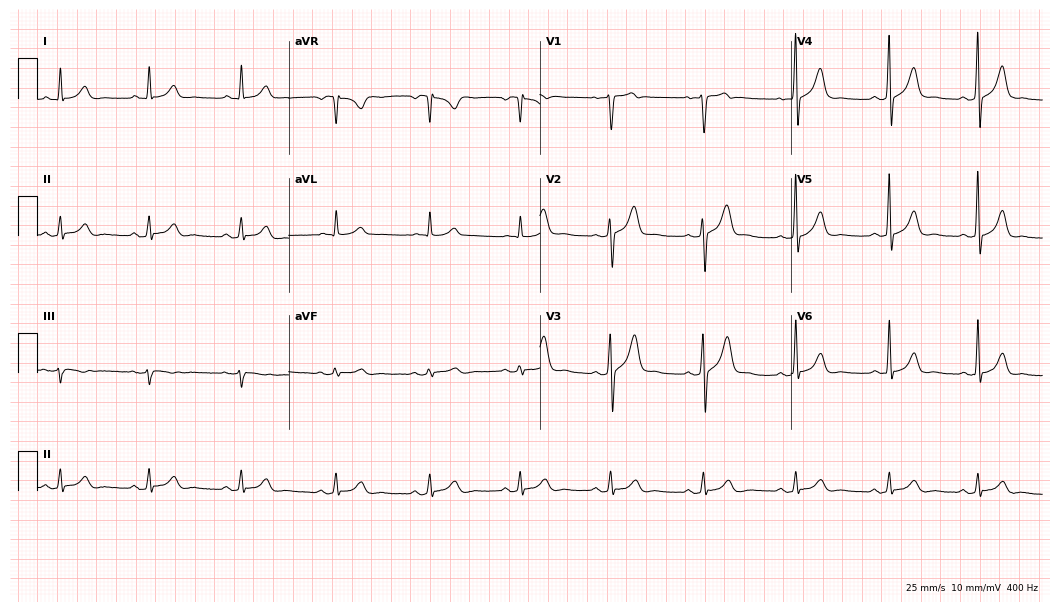
Electrocardiogram, a male patient, 50 years old. Overall reading on record: normal ECG.